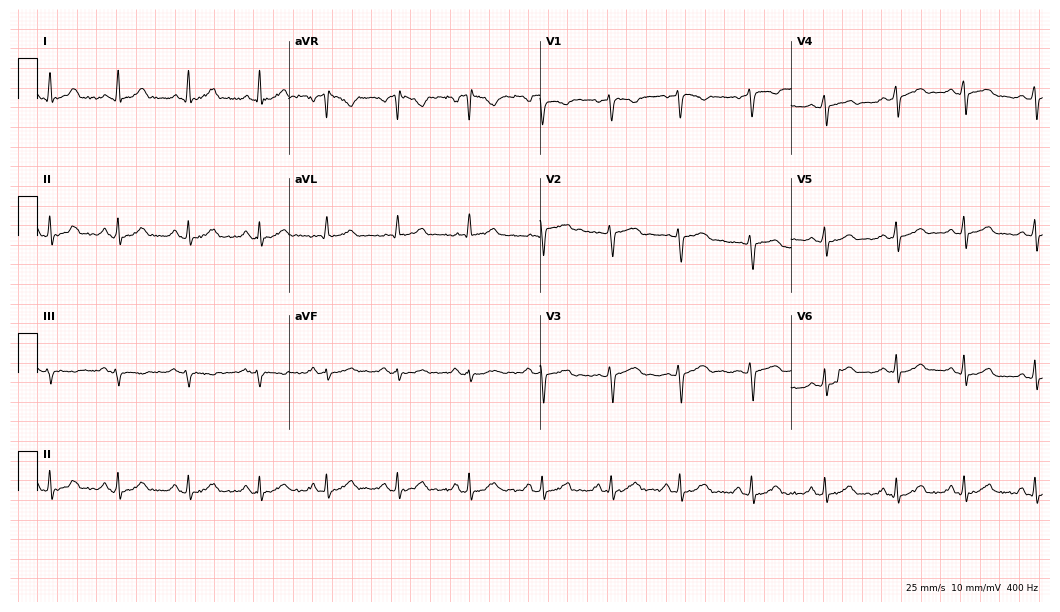
Electrocardiogram (10.2-second recording at 400 Hz), a woman, 32 years old. Of the six screened findings (first-degree AV block, right bundle branch block (RBBB), left bundle branch block (LBBB), sinus bradycardia, atrial fibrillation (AF), sinus tachycardia), none is recorded.